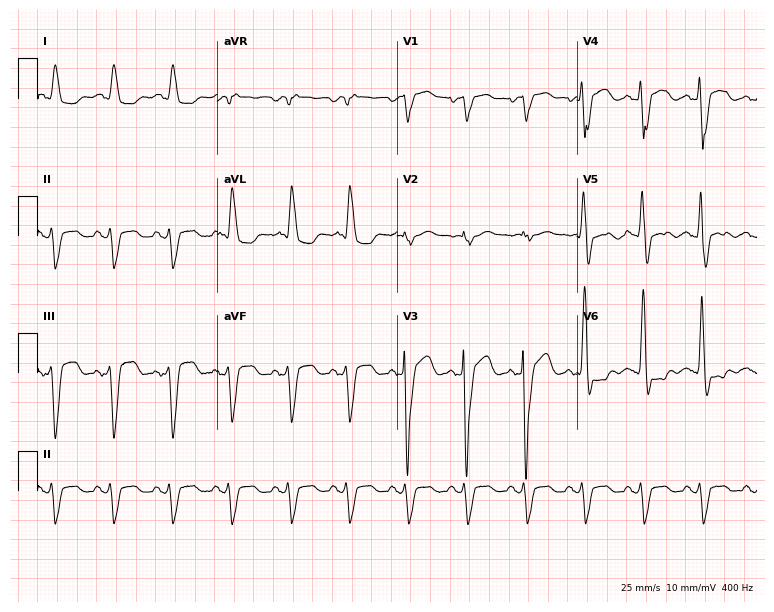
Resting 12-lead electrocardiogram (7.3-second recording at 400 Hz). Patient: a male, 80 years old. The tracing shows left bundle branch block, sinus tachycardia (a sinus rate of 100 beats per minute or more).